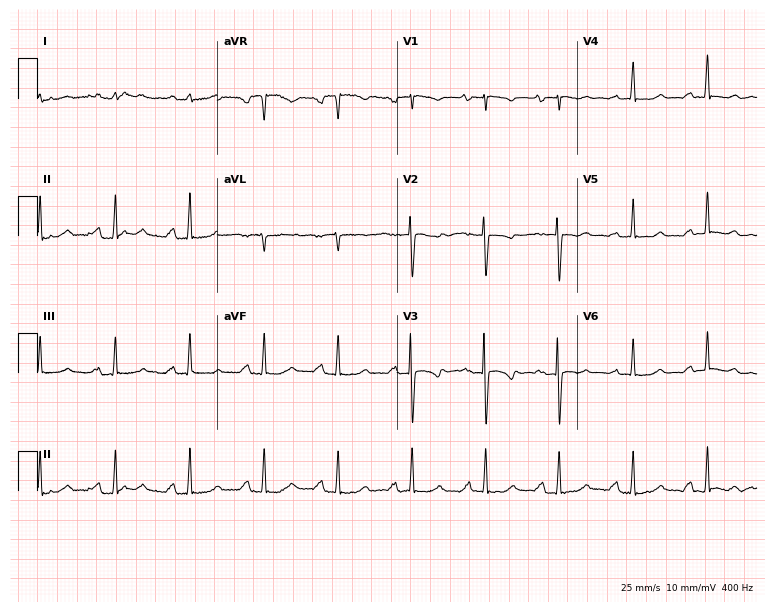
Electrocardiogram, a female, 24 years old. Overall reading on record: normal ECG.